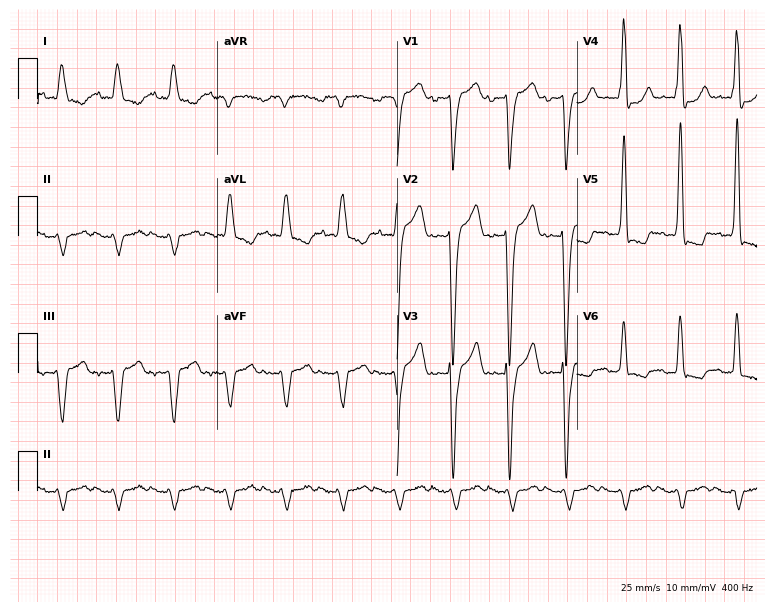
Electrocardiogram (7.3-second recording at 400 Hz), a man, 72 years old. Interpretation includes sinus tachycardia (a sinus rate of 100 beats per minute or more).